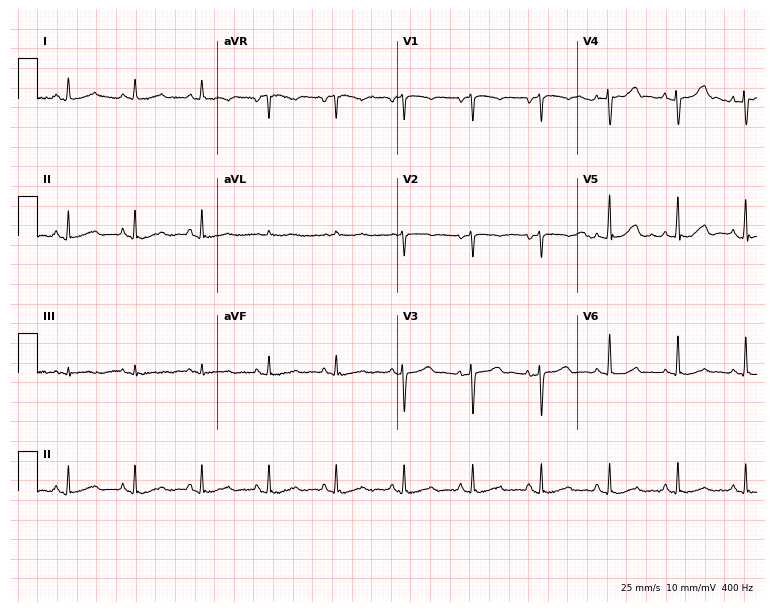
ECG (7.3-second recording at 400 Hz) — a female patient, 57 years old. Labelled as a normal ECG.